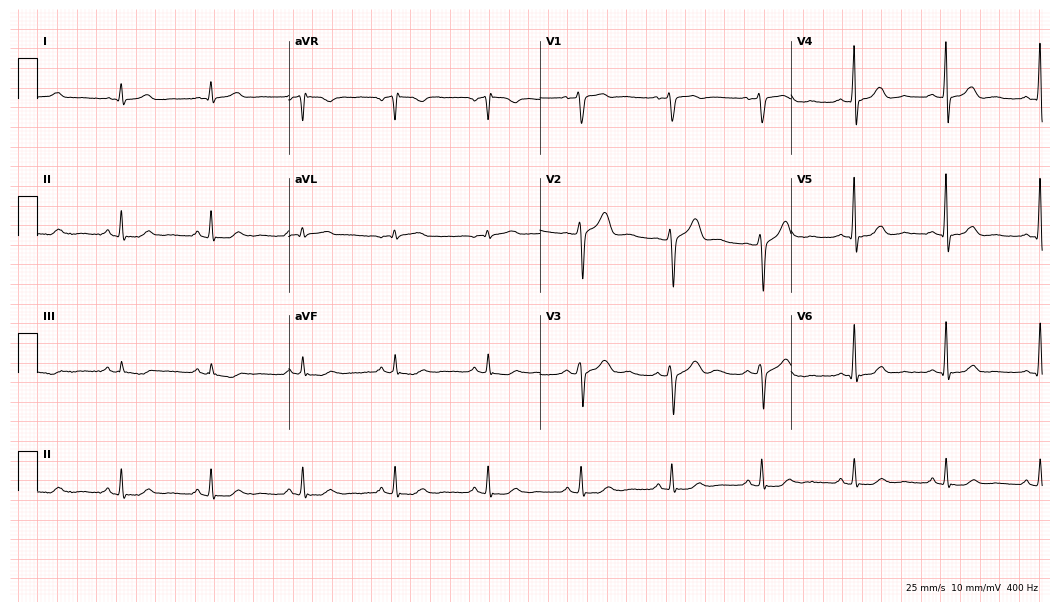
12-lead ECG from a 57-year-old male patient (10.2-second recording at 400 Hz). No first-degree AV block, right bundle branch block, left bundle branch block, sinus bradycardia, atrial fibrillation or sinus tachycardia recorded for this tracing. Other findings, if any, are not listed.